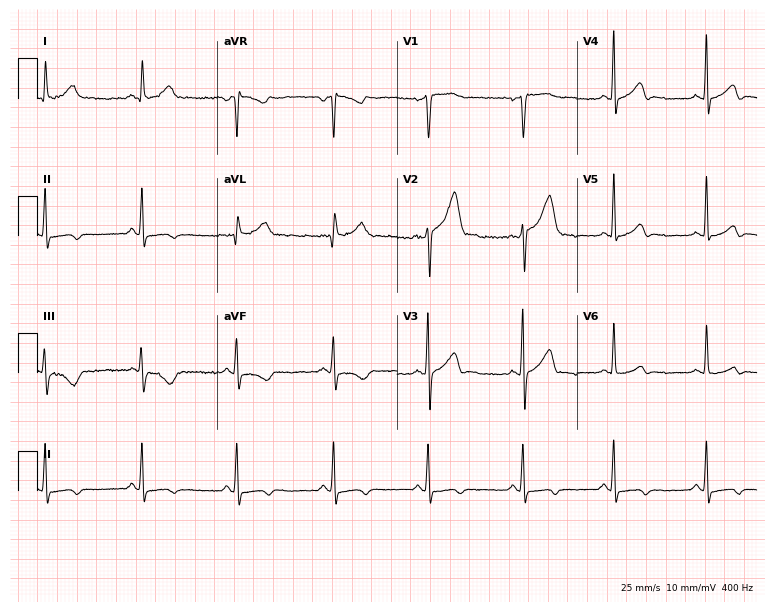
Electrocardiogram (7.3-second recording at 400 Hz), a man, 30 years old. Of the six screened findings (first-degree AV block, right bundle branch block (RBBB), left bundle branch block (LBBB), sinus bradycardia, atrial fibrillation (AF), sinus tachycardia), none is recorded. Only these six findings were labelled.